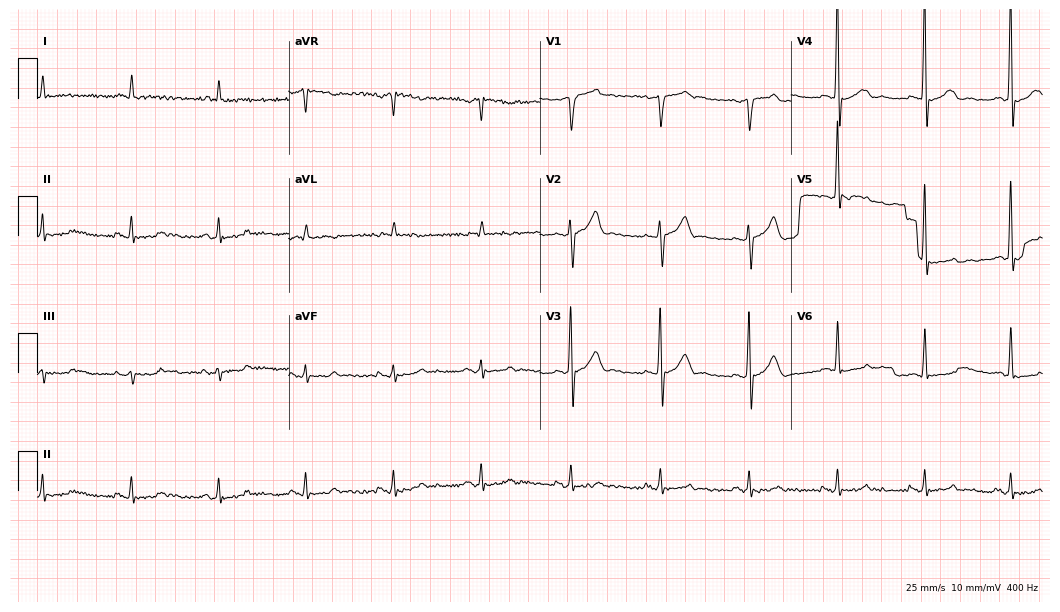
ECG — a 57-year-old man. Labelled as a normal ECG.